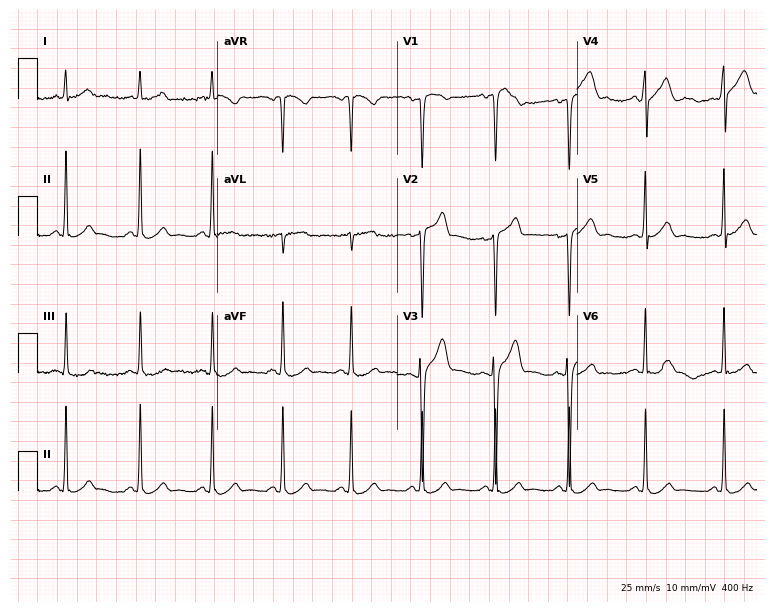
12-lead ECG from a 50-year-old man (7.3-second recording at 400 Hz). No first-degree AV block, right bundle branch block, left bundle branch block, sinus bradycardia, atrial fibrillation or sinus tachycardia recorded for this tracing.